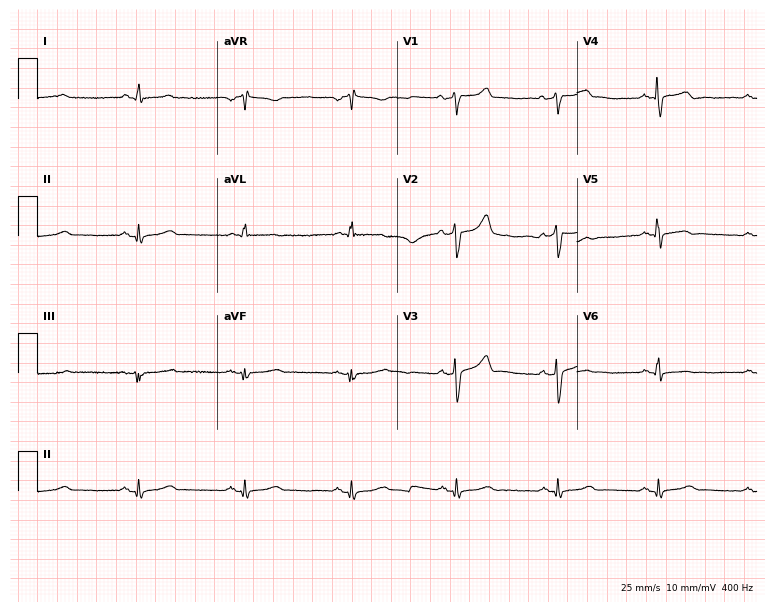
12-lead ECG from a male patient, 58 years old (7.3-second recording at 400 Hz). No first-degree AV block, right bundle branch block, left bundle branch block, sinus bradycardia, atrial fibrillation or sinus tachycardia recorded for this tracing.